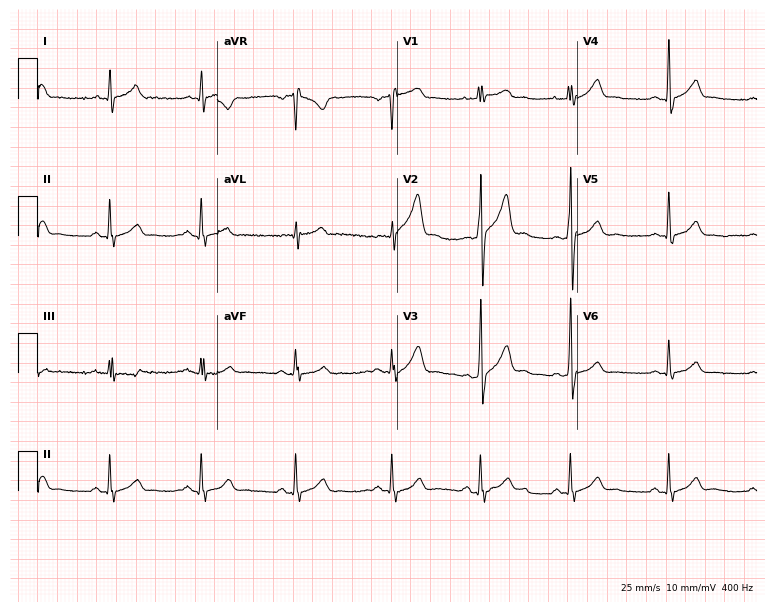
Resting 12-lead electrocardiogram. Patient: a male, 35 years old. Read as a normal ECG.